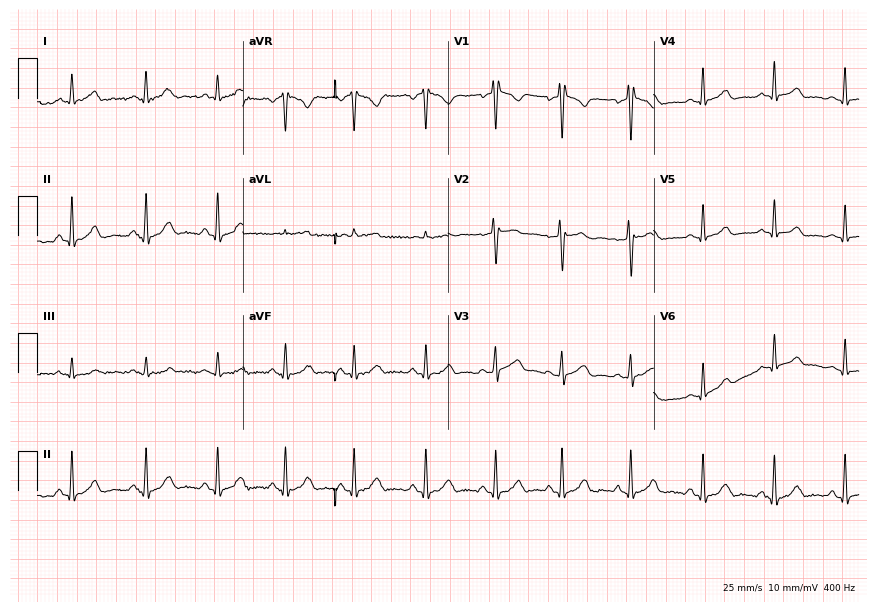
12-lead ECG from a 25-year-old female. Screened for six findings — first-degree AV block, right bundle branch block (RBBB), left bundle branch block (LBBB), sinus bradycardia, atrial fibrillation (AF), sinus tachycardia — none is recorded. Only these six findings were labelled.